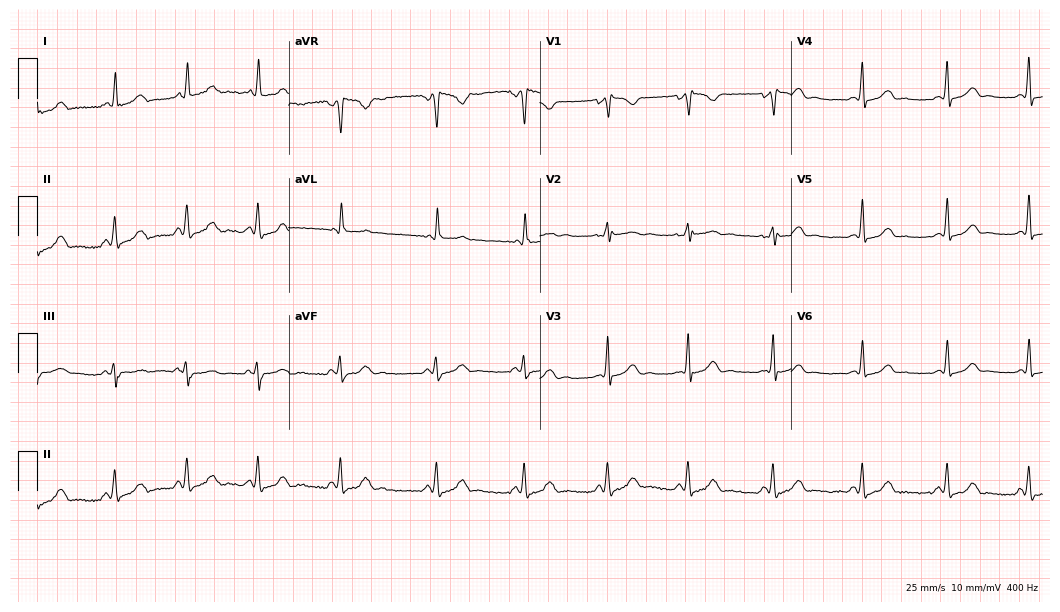
Standard 12-lead ECG recorded from a 32-year-old female (10.2-second recording at 400 Hz). None of these six findings is recorded: first-degree AV block, right bundle branch block, left bundle branch block, sinus bradycardia, atrial fibrillation, sinus tachycardia. Findings outside these six are not listed.